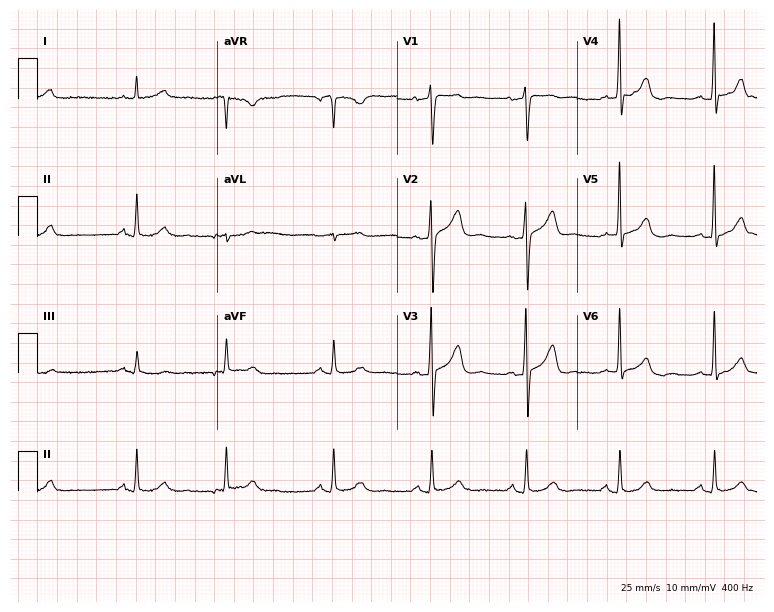
12-lead ECG from a male, 69 years old (7.3-second recording at 400 Hz). No first-degree AV block, right bundle branch block, left bundle branch block, sinus bradycardia, atrial fibrillation or sinus tachycardia recorded for this tracing.